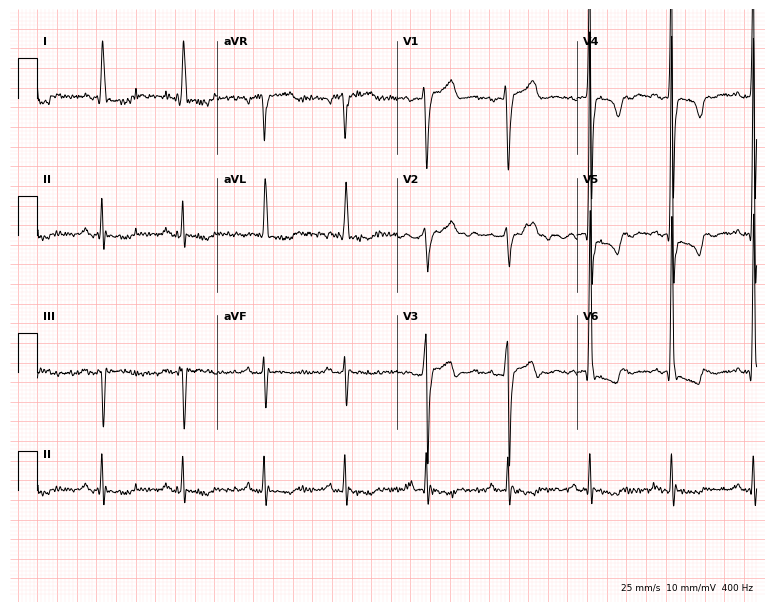
Resting 12-lead electrocardiogram (7.3-second recording at 400 Hz). Patient: a male, 66 years old. None of these six findings is recorded: first-degree AV block, right bundle branch block, left bundle branch block, sinus bradycardia, atrial fibrillation, sinus tachycardia.